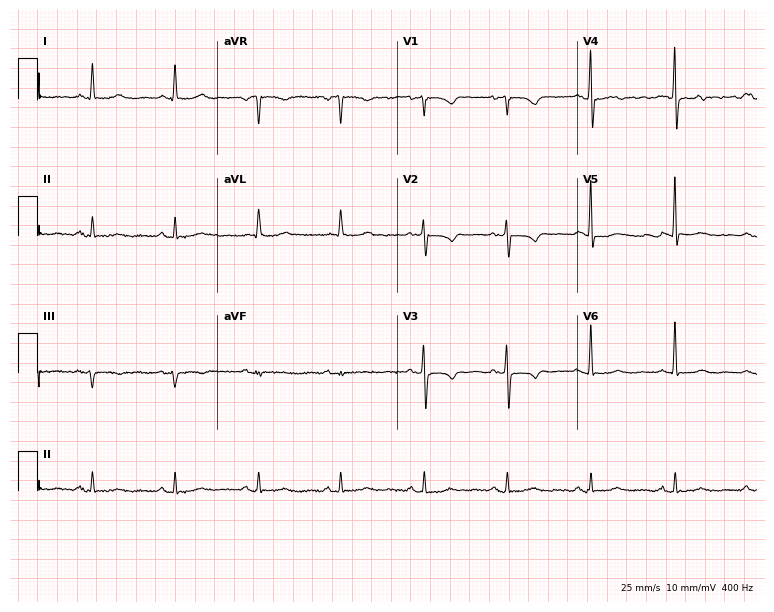
12-lead ECG from a female, 65 years old (7.3-second recording at 400 Hz). No first-degree AV block, right bundle branch block, left bundle branch block, sinus bradycardia, atrial fibrillation or sinus tachycardia recorded for this tracing.